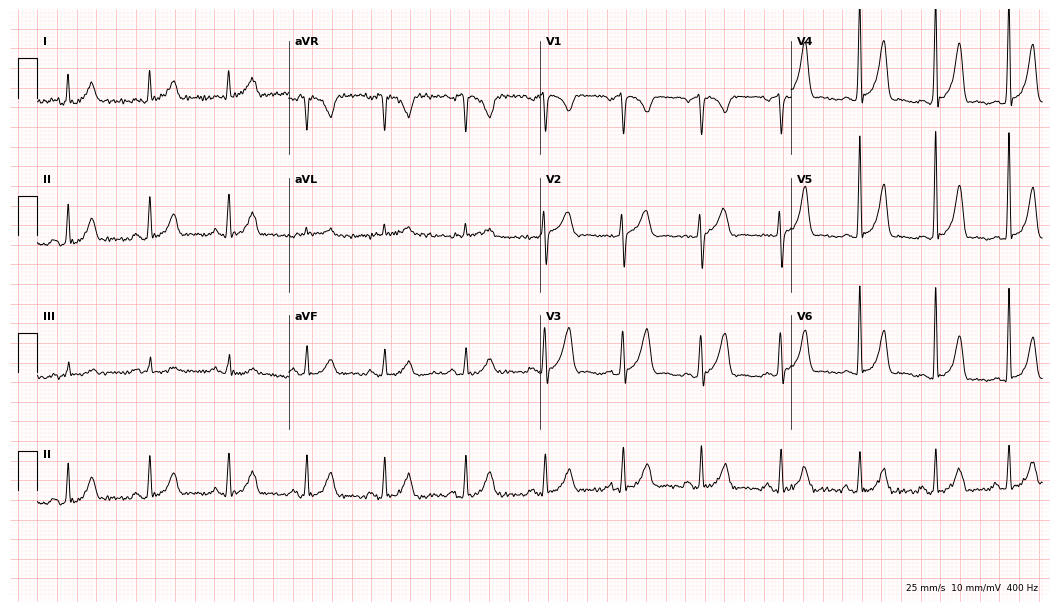
12-lead ECG from a 34-year-old male patient. Screened for six findings — first-degree AV block, right bundle branch block, left bundle branch block, sinus bradycardia, atrial fibrillation, sinus tachycardia — none is recorded.